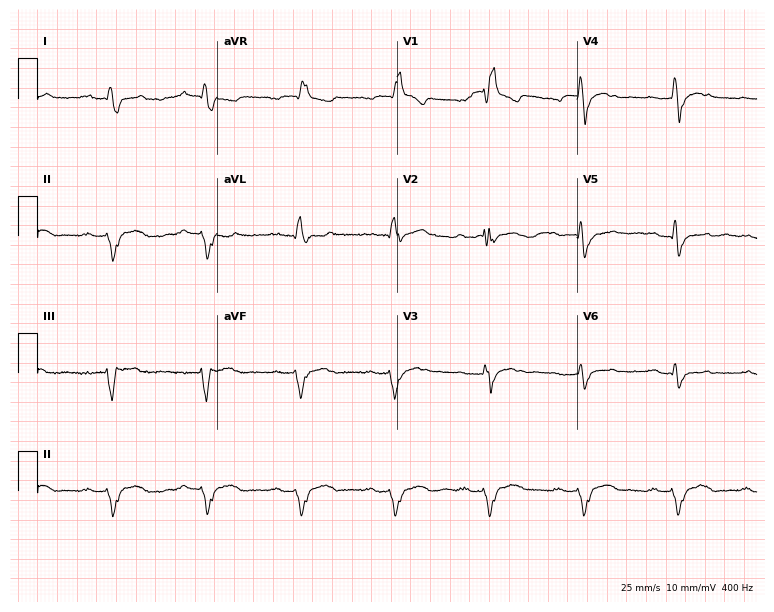
12-lead ECG from a 41-year-old male patient. Findings include first-degree AV block, right bundle branch block.